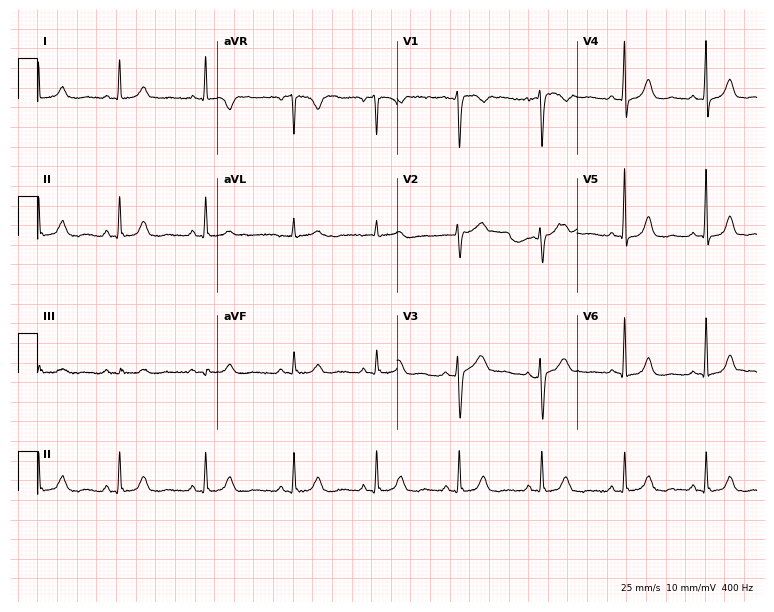
12-lead ECG (7.3-second recording at 400 Hz) from a 31-year-old female patient. Labelled as a normal ECG.